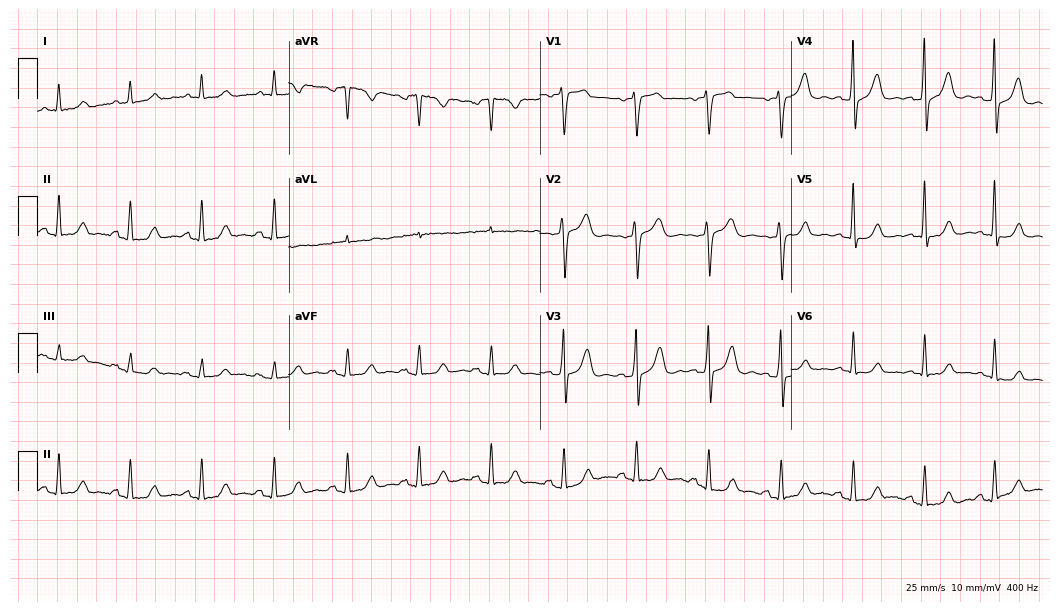
Electrocardiogram (10.2-second recording at 400 Hz), a 60-year-old man. Overall reading on record: normal ECG.